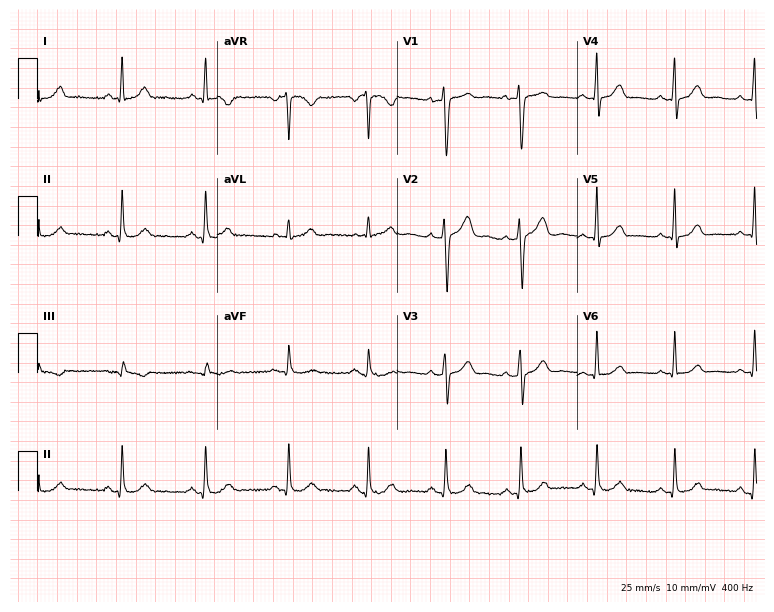
12-lead ECG from a 40-year-old female patient. Recorded interpretation: within normal limits.